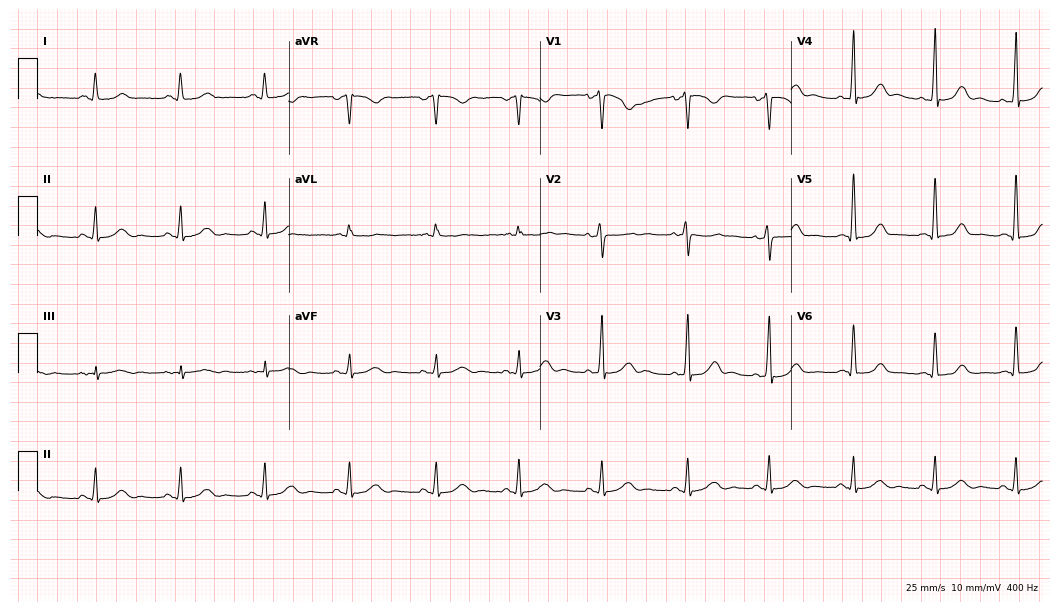
ECG — a woman, 35 years old. Screened for six findings — first-degree AV block, right bundle branch block, left bundle branch block, sinus bradycardia, atrial fibrillation, sinus tachycardia — none is recorded.